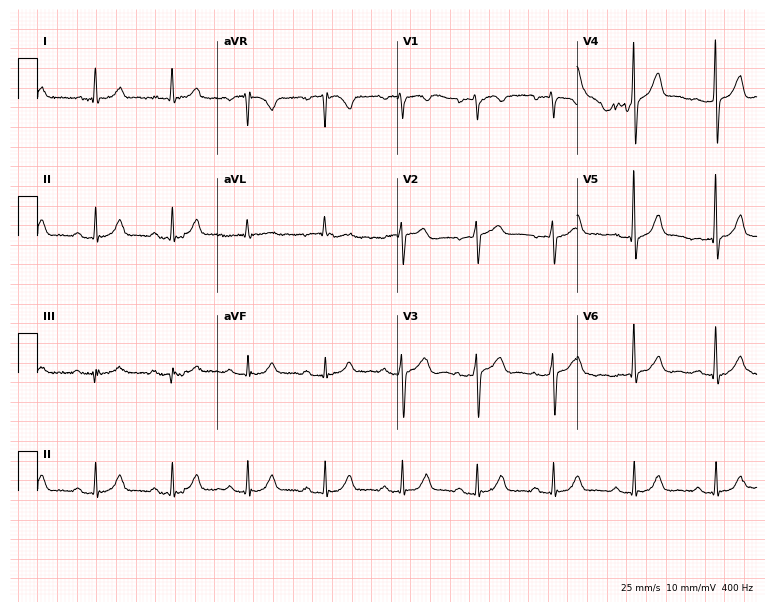
12-lead ECG (7.3-second recording at 400 Hz) from a 61-year-old man. Labelled as a normal ECG.